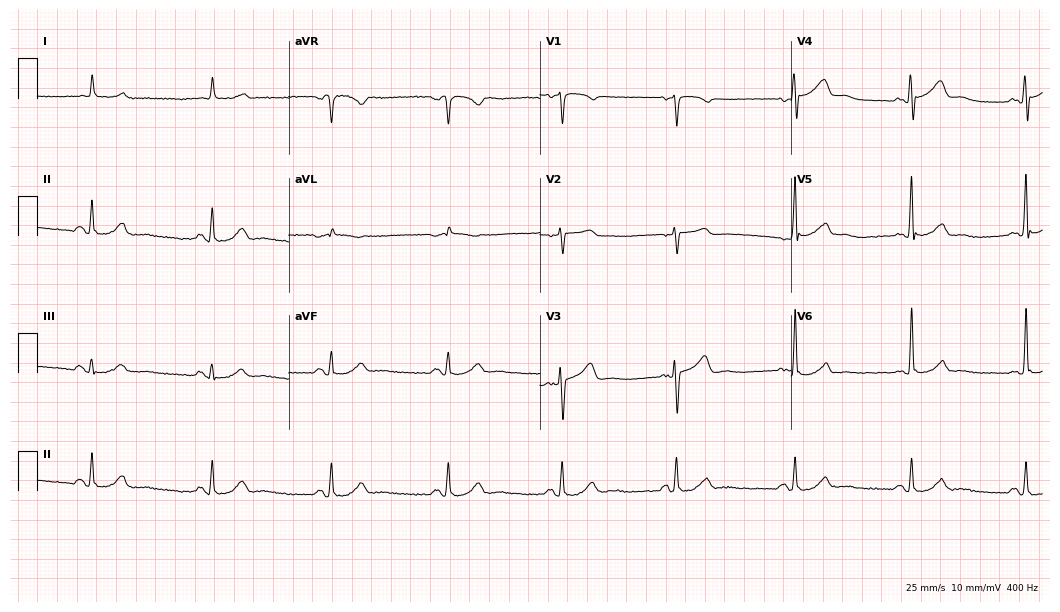
12-lead ECG from a 68-year-old man (10.2-second recording at 400 Hz). Shows sinus bradycardia (a sinus rate of 50 beats per minute or less).